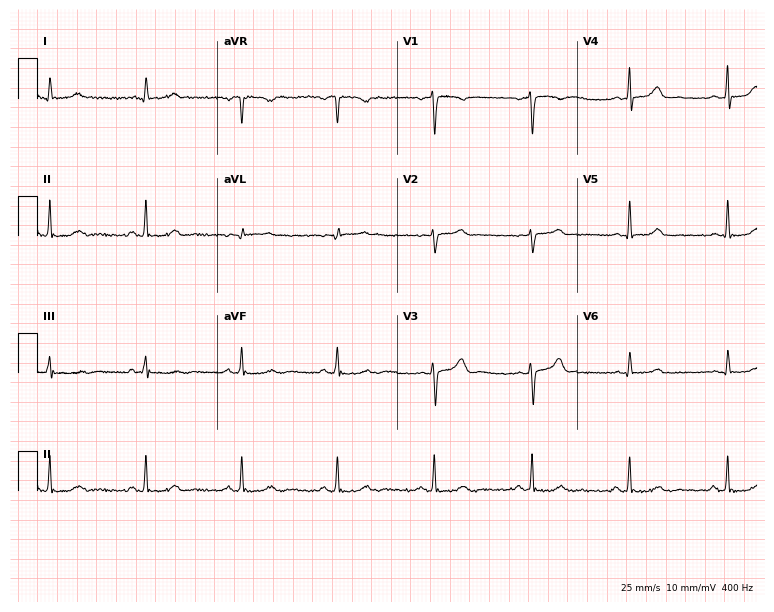
12-lead ECG from a 36-year-old woman (7.3-second recording at 400 Hz). No first-degree AV block, right bundle branch block, left bundle branch block, sinus bradycardia, atrial fibrillation or sinus tachycardia recorded for this tracing. Other findings, if any, are not listed.